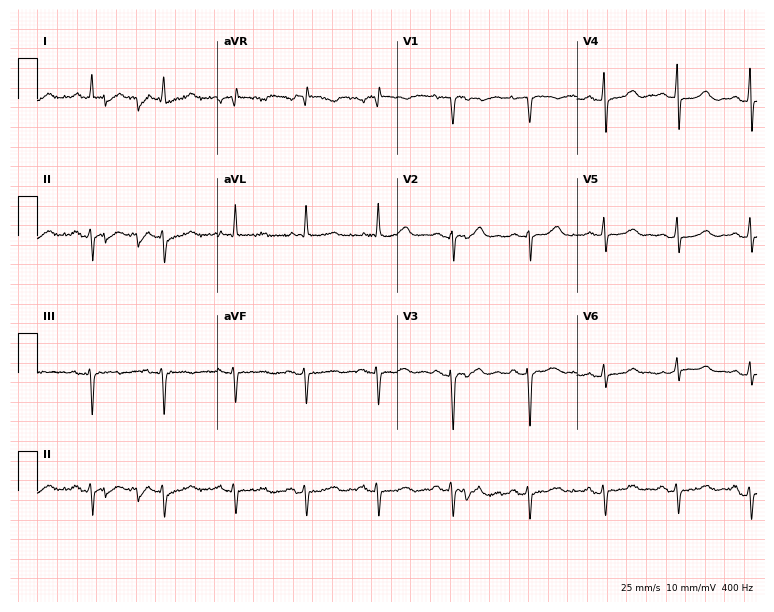
Standard 12-lead ECG recorded from a 79-year-old female. None of these six findings is recorded: first-degree AV block, right bundle branch block, left bundle branch block, sinus bradycardia, atrial fibrillation, sinus tachycardia.